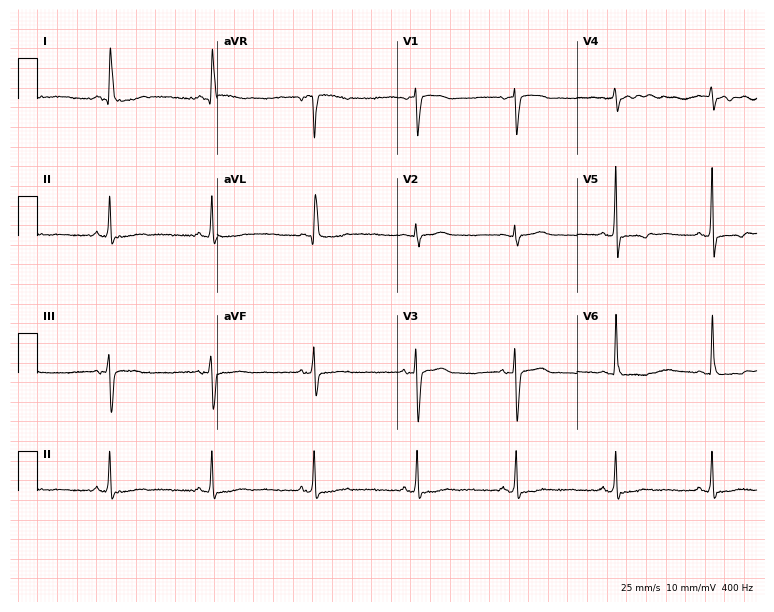
12-lead ECG (7.3-second recording at 400 Hz) from a woman, 75 years old. Screened for six findings — first-degree AV block, right bundle branch block, left bundle branch block, sinus bradycardia, atrial fibrillation, sinus tachycardia — none is recorded.